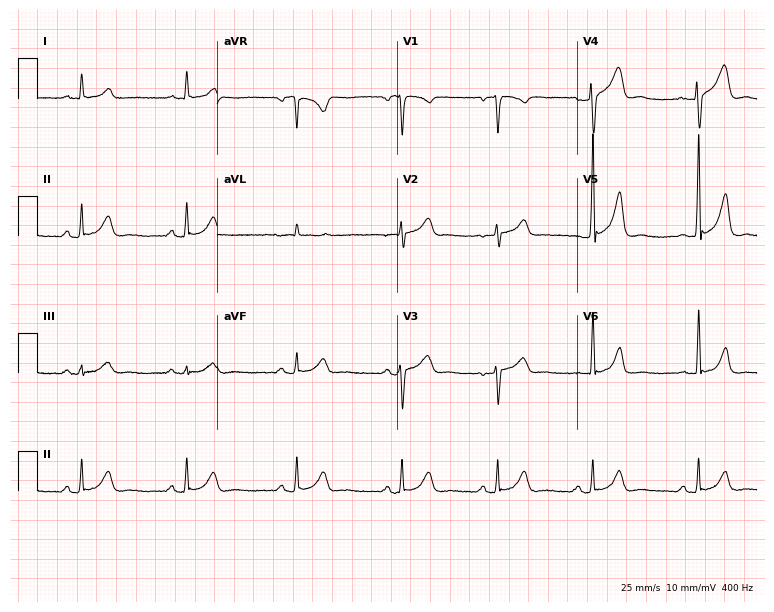
12-lead ECG (7.3-second recording at 400 Hz) from a male, 43 years old. Labelled as a normal ECG.